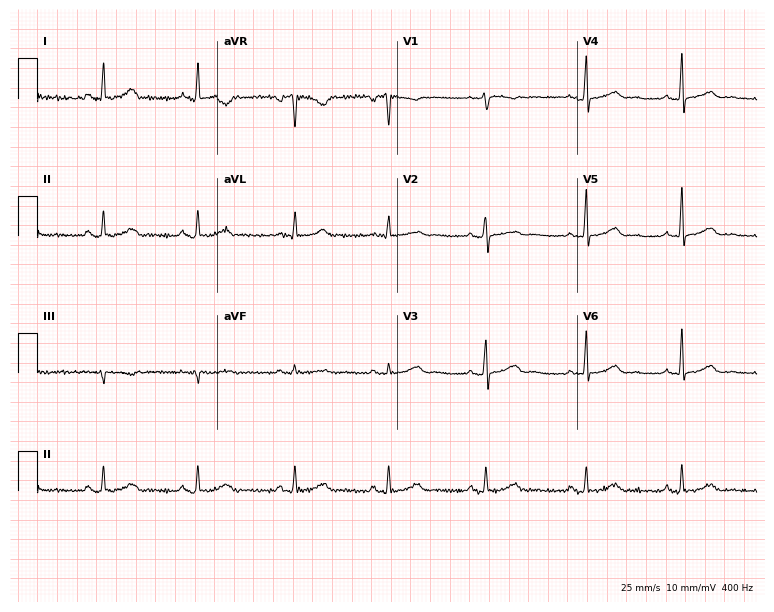
Resting 12-lead electrocardiogram. Patient: a 53-year-old female. Read as a normal ECG.